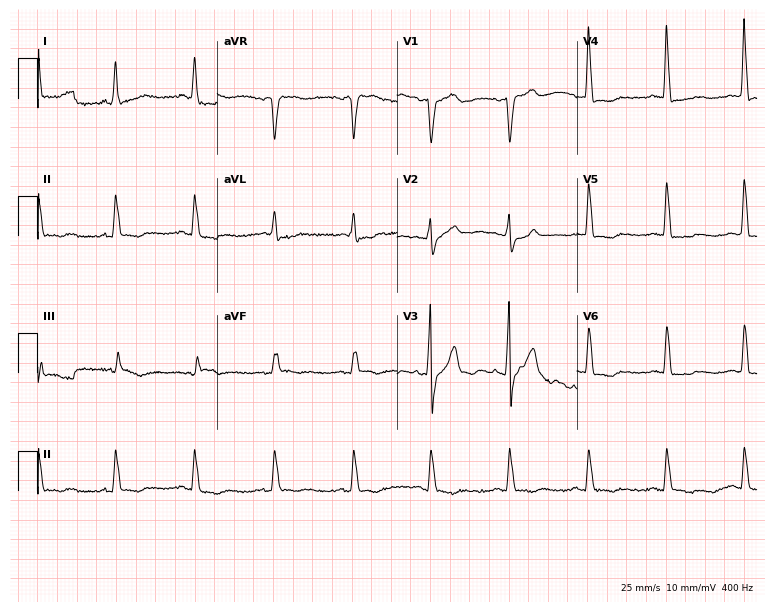
Standard 12-lead ECG recorded from an 82-year-old woman (7.3-second recording at 400 Hz). None of these six findings is recorded: first-degree AV block, right bundle branch block, left bundle branch block, sinus bradycardia, atrial fibrillation, sinus tachycardia.